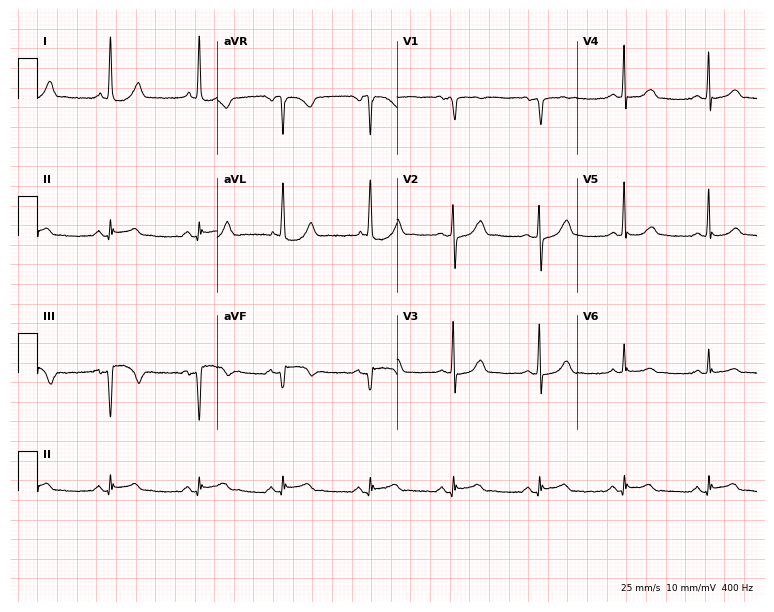
Standard 12-lead ECG recorded from a woman, 75 years old (7.3-second recording at 400 Hz). None of these six findings is recorded: first-degree AV block, right bundle branch block, left bundle branch block, sinus bradycardia, atrial fibrillation, sinus tachycardia. Findings outside these six are not listed.